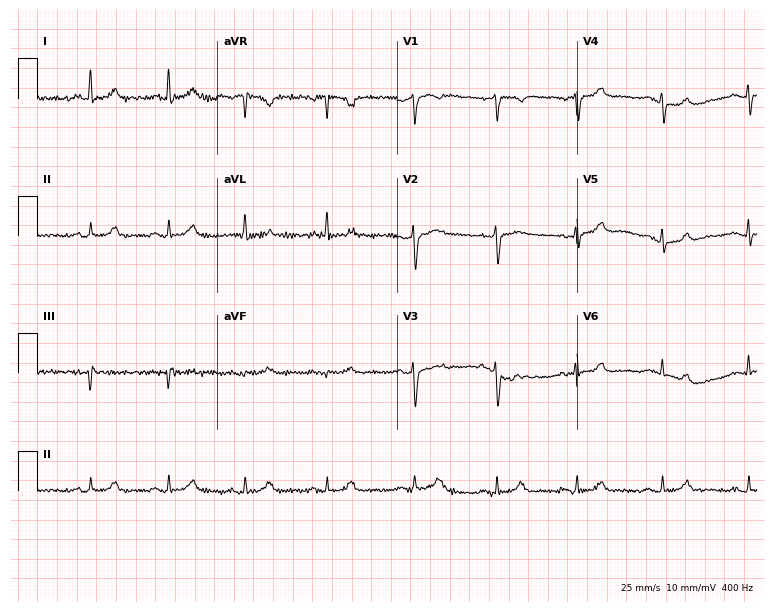
12-lead ECG from a female patient, 55 years old (7.3-second recording at 400 Hz). No first-degree AV block, right bundle branch block, left bundle branch block, sinus bradycardia, atrial fibrillation or sinus tachycardia recorded for this tracing.